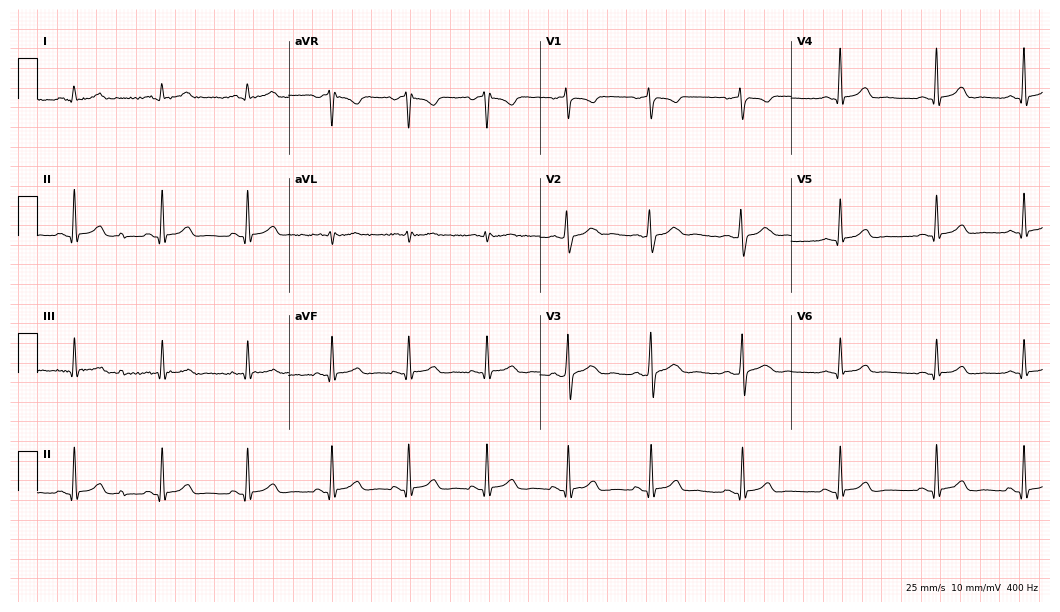
12-lead ECG from a 22-year-old female patient (10.2-second recording at 400 Hz). Recorded interpretation: within normal limits.